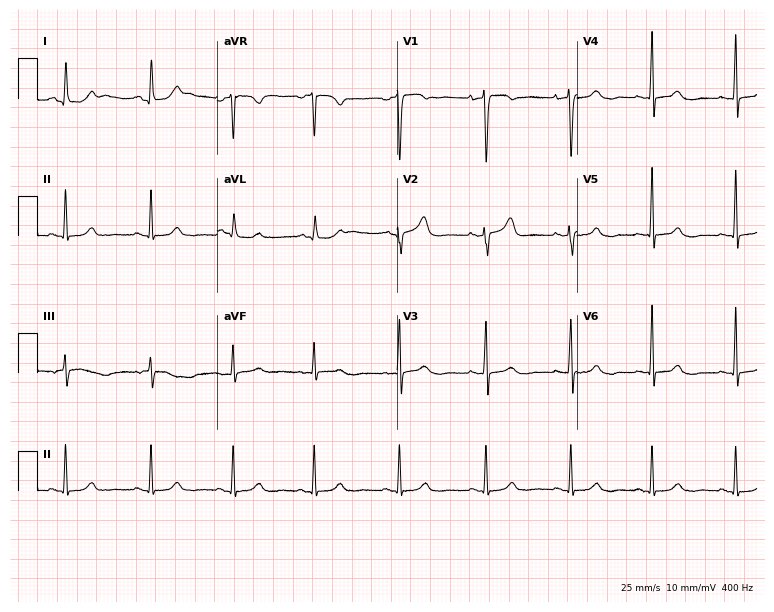
Electrocardiogram (7.3-second recording at 400 Hz), a female, 43 years old. Of the six screened findings (first-degree AV block, right bundle branch block, left bundle branch block, sinus bradycardia, atrial fibrillation, sinus tachycardia), none is recorded. Other findings, if any, are not listed.